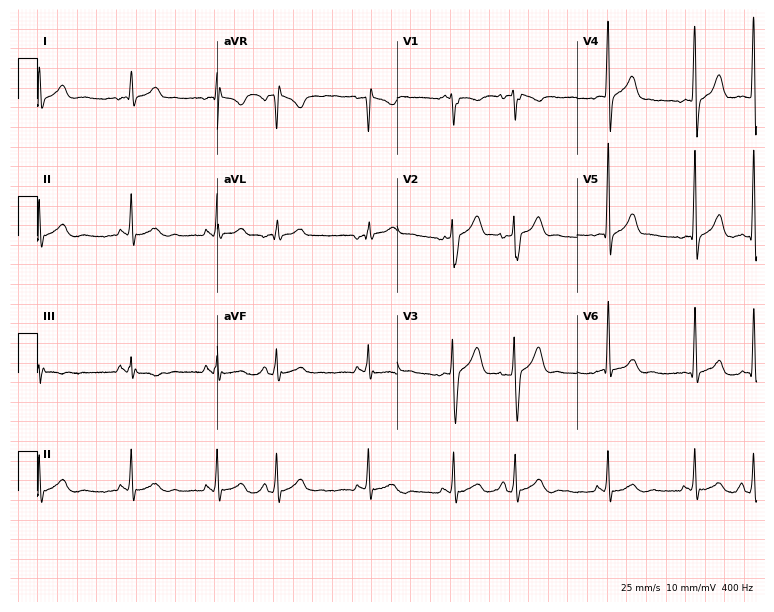
Electrocardiogram (7.3-second recording at 400 Hz), a 32-year-old male. Of the six screened findings (first-degree AV block, right bundle branch block, left bundle branch block, sinus bradycardia, atrial fibrillation, sinus tachycardia), none is recorded.